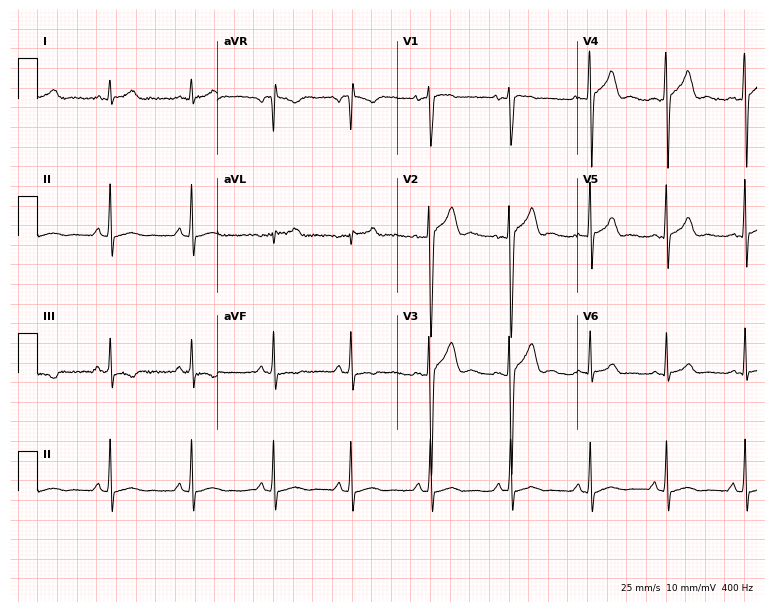
Electrocardiogram, a 17-year-old male. Overall reading on record: normal ECG.